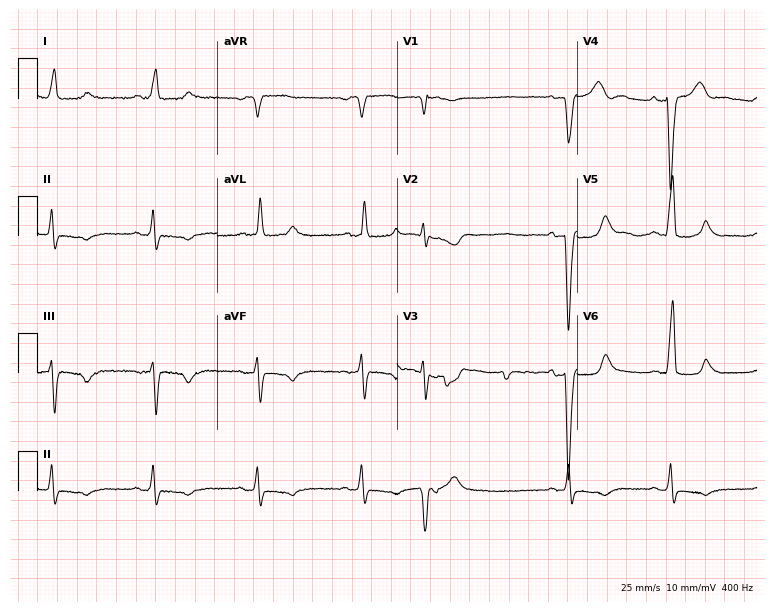
12-lead ECG (7.3-second recording at 400 Hz) from a man, 78 years old. Screened for six findings — first-degree AV block, right bundle branch block, left bundle branch block, sinus bradycardia, atrial fibrillation, sinus tachycardia — none is recorded. Only these six findings were labelled.